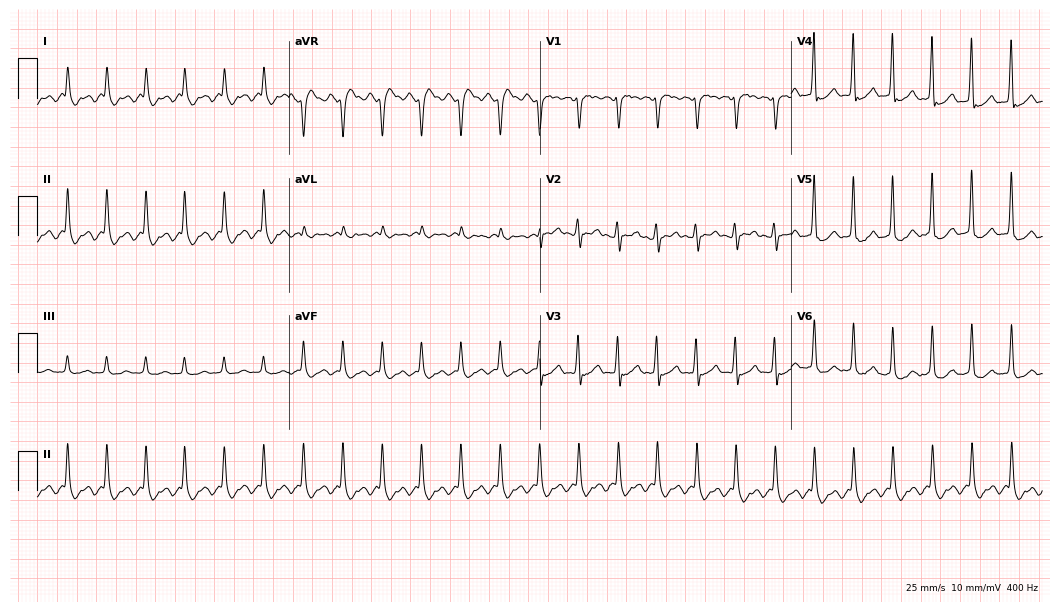
Standard 12-lead ECG recorded from an 82-year-old man. None of these six findings is recorded: first-degree AV block, right bundle branch block, left bundle branch block, sinus bradycardia, atrial fibrillation, sinus tachycardia.